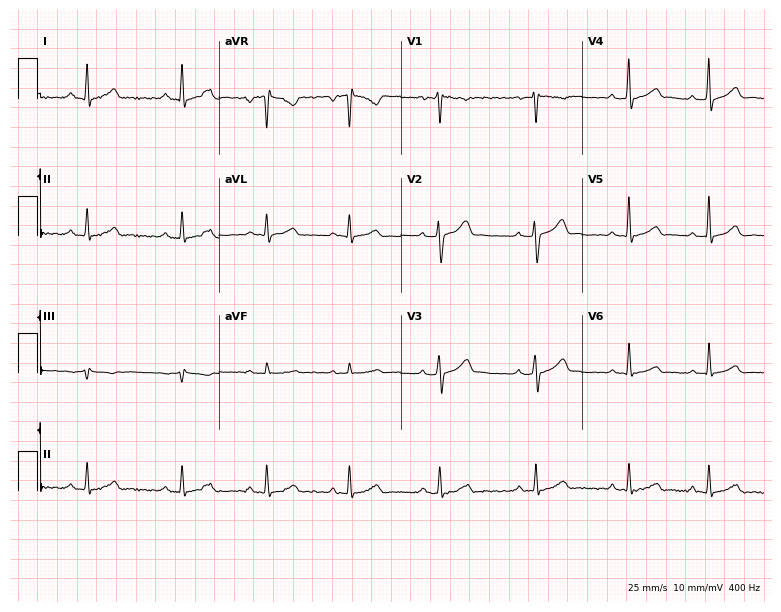
Standard 12-lead ECG recorded from a 38-year-old woman (7.4-second recording at 400 Hz). None of these six findings is recorded: first-degree AV block, right bundle branch block, left bundle branch block, sinus bradycardia, atrial fibrillation, sinus tachycardia. Findings outside these six are not listed.